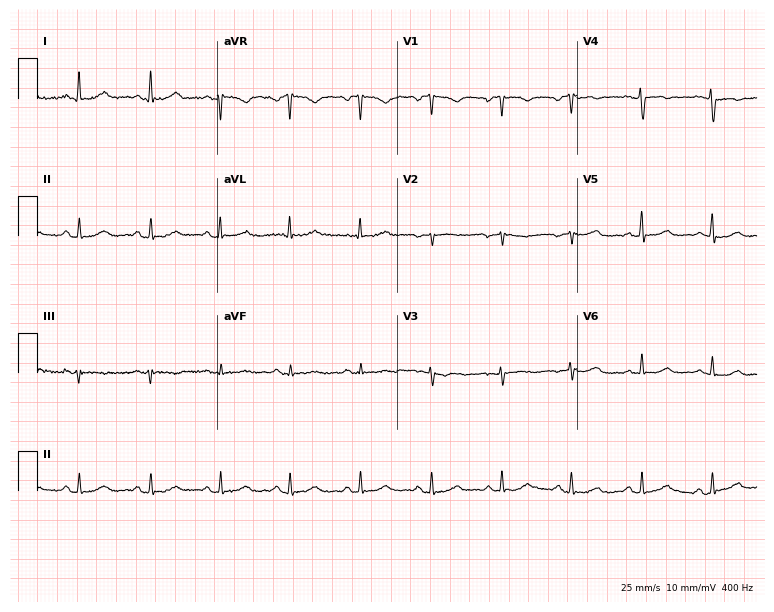
12-lead ECG from a 56-year-old female. Screened for six findings — first-degree AV block, right bundle branch block, left bundle branch block, sinus bradycardia, atrial fibrillation, sinus tachycardia — none is recorded.